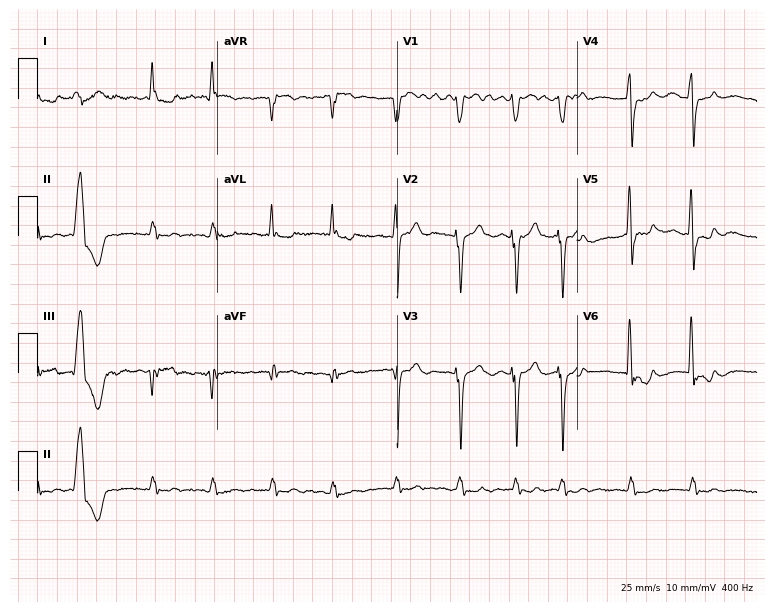
ECG (7.3-second recording at 400 Hz) — a male, 77 years old. Findings include atrial fibrillation.